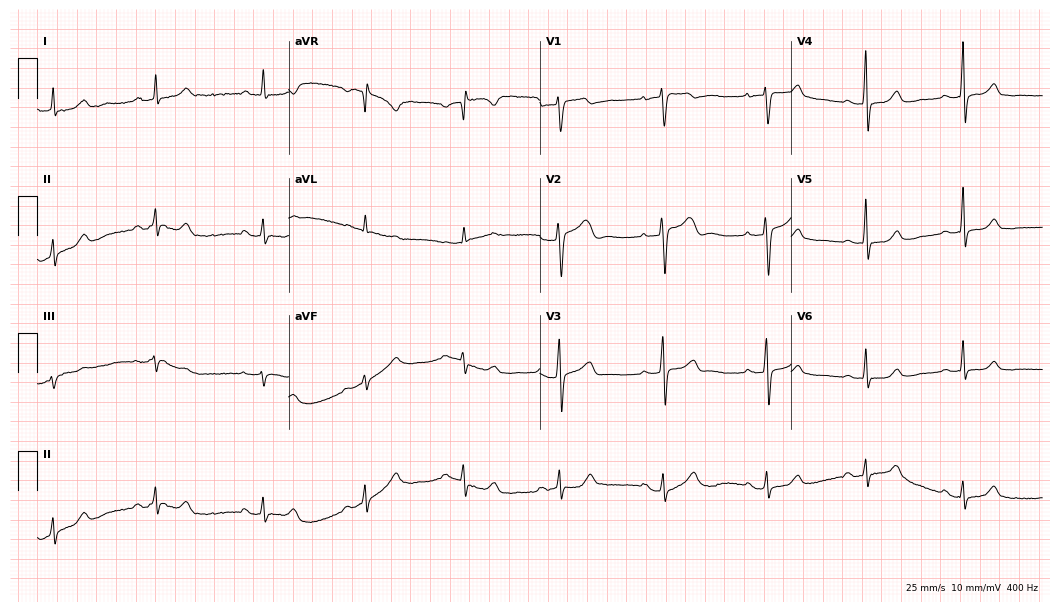
Standard 12-lead ECG recorded from a woman, 70 years old (10.2-second recording at 400 Hz). Read as a normal ECG.